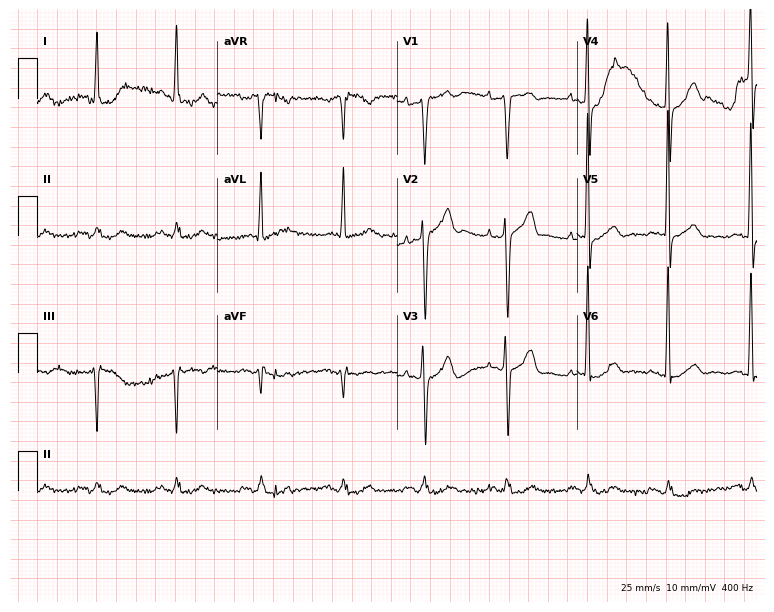
ECG — an 80-year-old man. Screened for six findings — first-degree AV block, right bundle branch block, left bundle branch block, sinus bradycardia, atrial fibrillation, sinus tachycardia — none is recorded. Other findings, if any, are not listed.